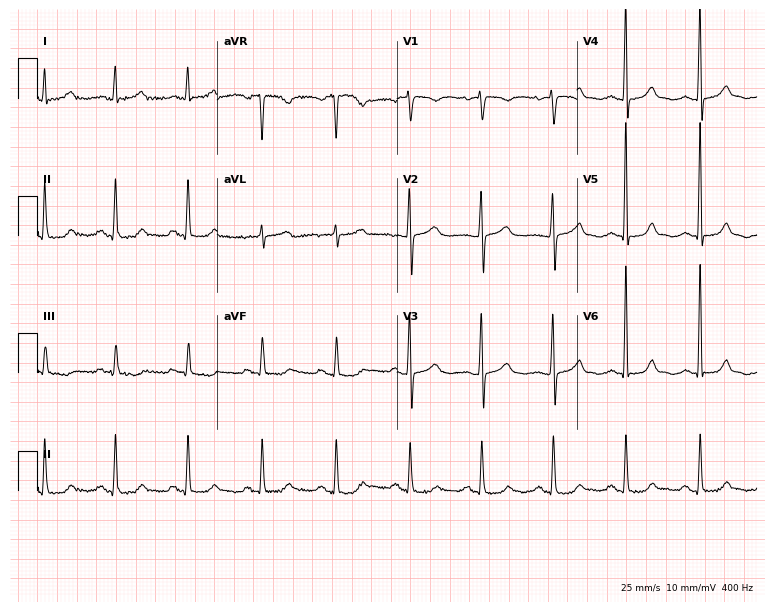
Standard 12-lead ECG recorded from a female patient, 63 years old. Read as a normal ECG.